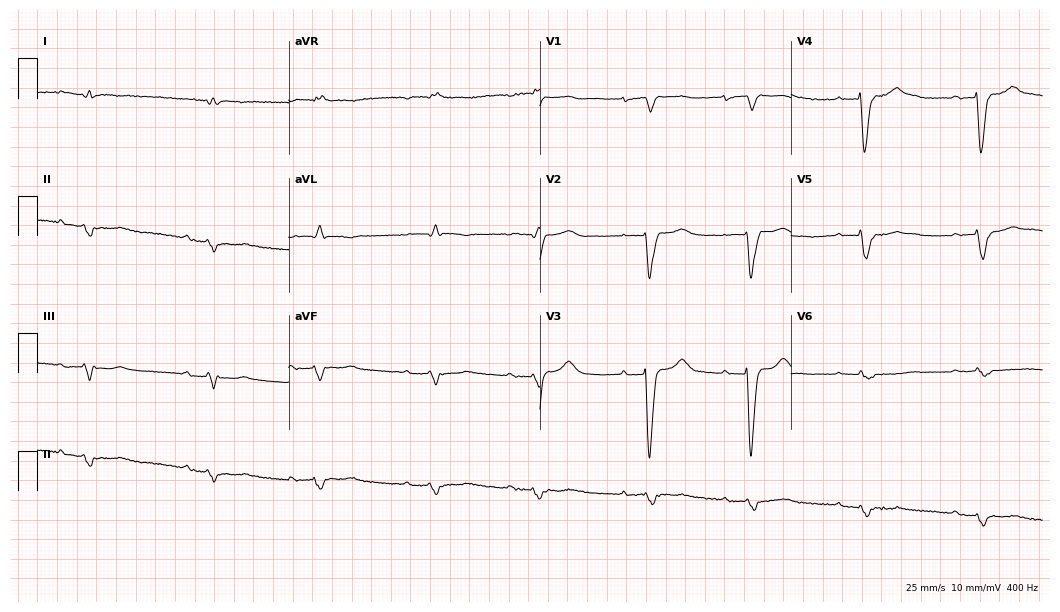
ECG (10.2-second recording at 400 Hz) — a 64-year-old woman. Screened for six findings — first-degree AV block, right bundle branch block (RBBB), left bundle branch block (LBBB), sinus bradycardia, atrial fibrillation (AF), sinus tachycardia — none is recorded.